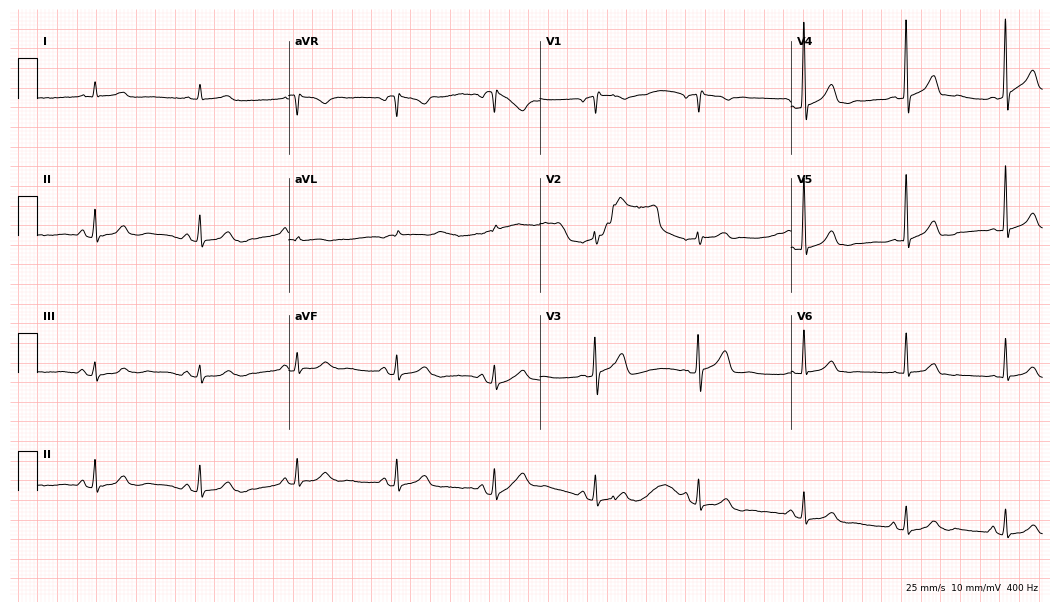
ECG (10.2-second recording at 400 Hz) — a 73-year-old man. Screened for six findings — first-degree AV block, right bundle branch block, left bundle branch block, sinus bradycardia, atrial fibrillation, sinus tachycardia — none is recorded.